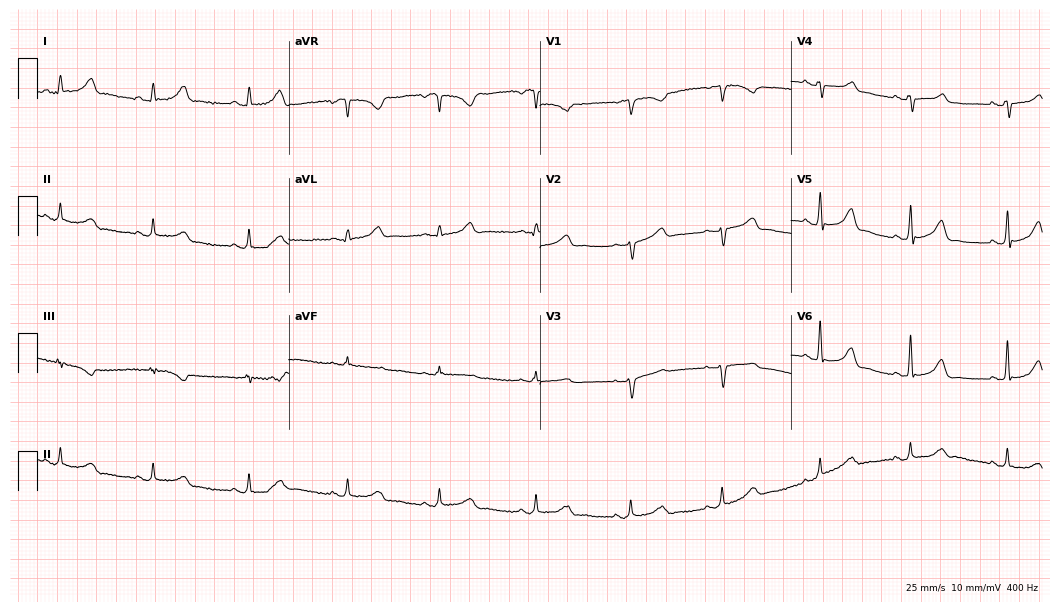
Standard 12-lead ECG recorded from a female patient, 35 years old. Read as a normal ECG.